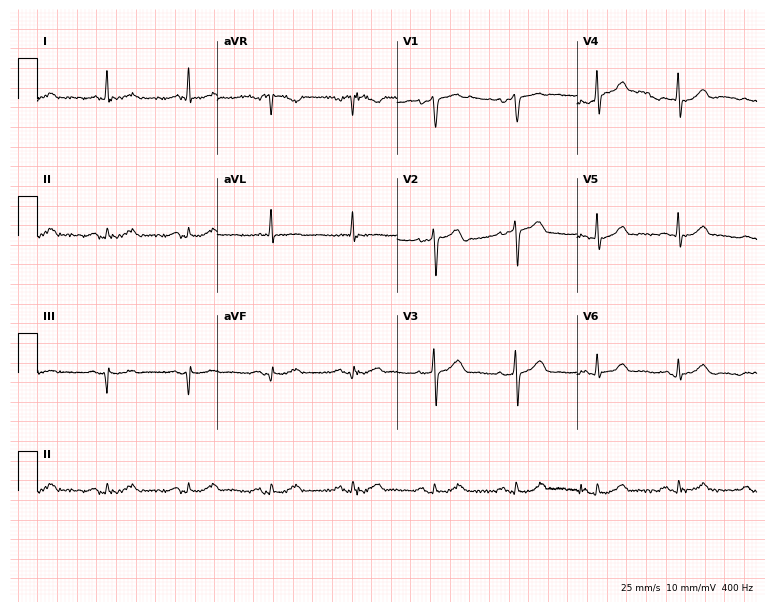
ECG — a 61-year-old male patient. Labelled as a normal ECG.